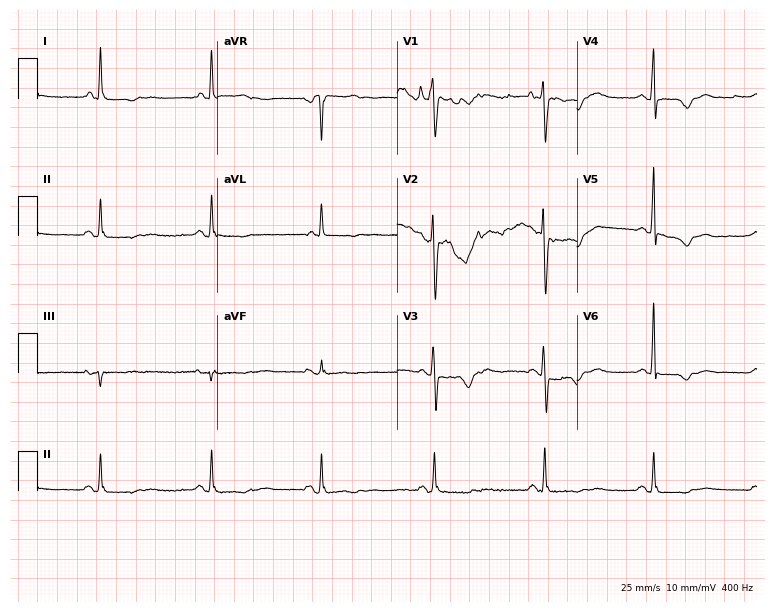
12-lead ECG (7.3-second recording at 400 Hz) from a 65-year-old female patient. Screened for six findings — first-degree AV block, right bundle branch block, left bundle branch block, sinus bradycardia, atrial fibrillation, sinus tachycardia — none is recorded. Findings outside these six are not listed.